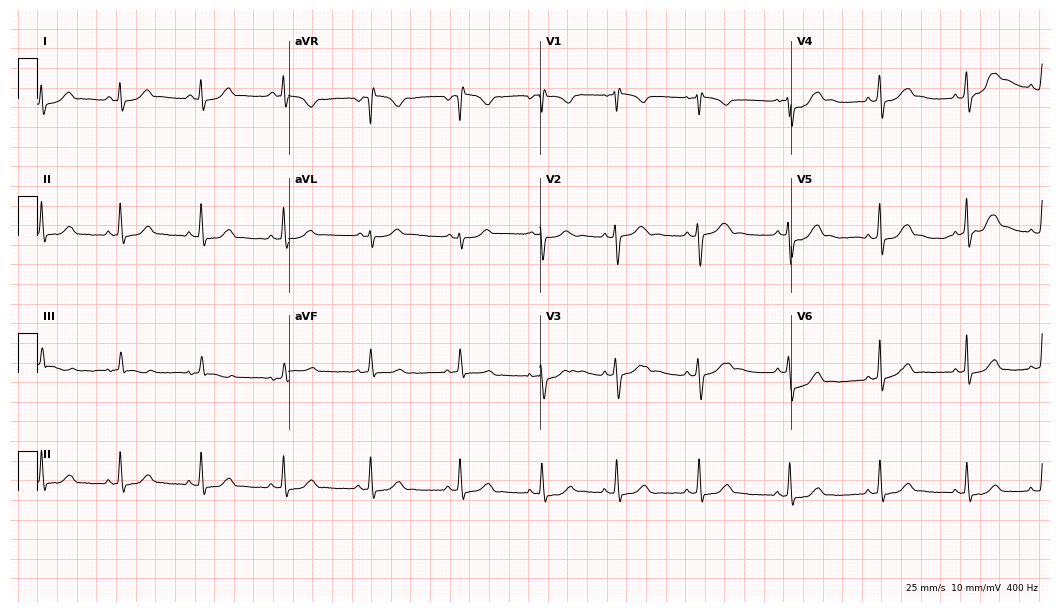
Electrocardiogram (10.2-second recording at 400 Hz), a woman, 30 years old. Of the six screened findings (first-degree AV block, right bundle branch block, left bundle branch block, sinus bradycardia, atrial fibrillation, sinus tachycardia), none is recorded. Findings outside these six are not listed.